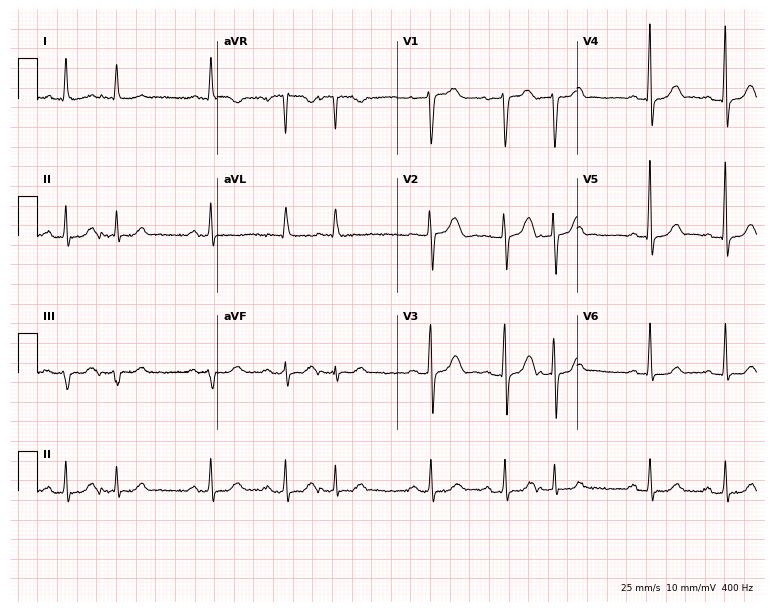
12-lead ECG from a female, 63 years old (7.3-second recording at 400 Hz). No first-degree AV block, right bundle branch block (RBBB), left bundle branch block (LBBB), sinus bradycardia, atrial fibrillation (AF) or sinus tachycardia recorded for this tracing. Findings outside these six are not listed.